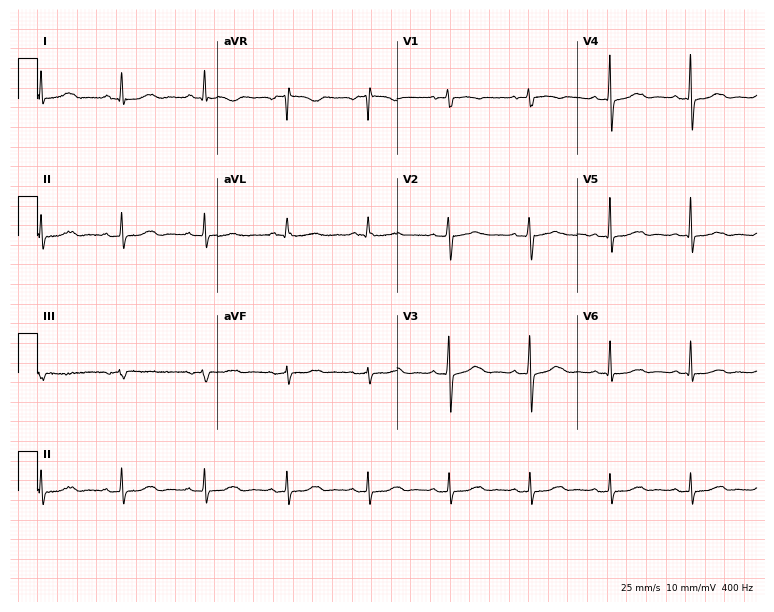
Standard 12-lead ECG recorded from a female, 73 years old. Read as a normal ECG.